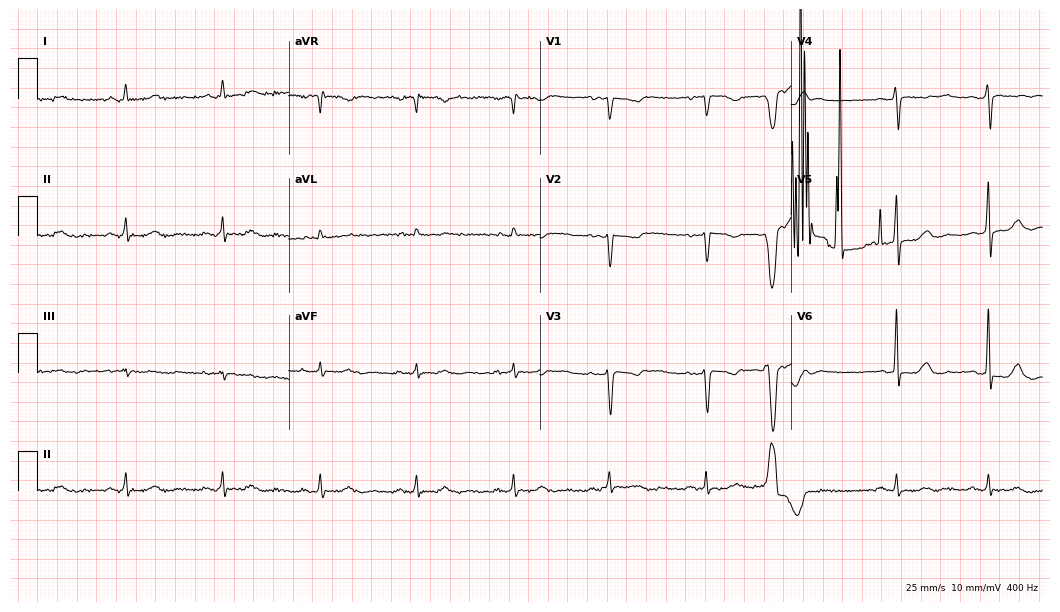
12-lead ECG from a female, 63 years old. No first-degree AV block, right bundle branch block (RBBB), left bundle branch block (LBBB), sinus bradycardia, atrial fibrillation (AF) or sinus tachycardia recorded for this tracing. Findings outside these six are not listed.